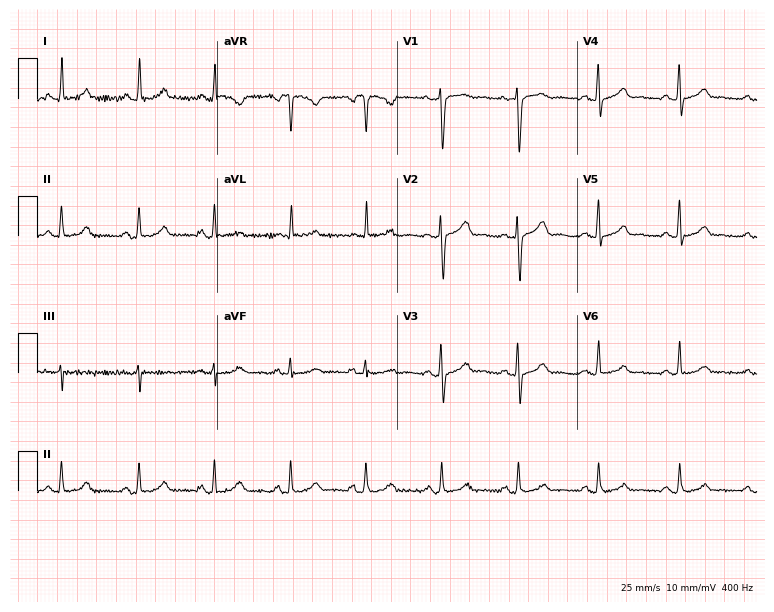
Standard 12-lead ECG recorded from a female, 30 years old. Read as a normal ECG.